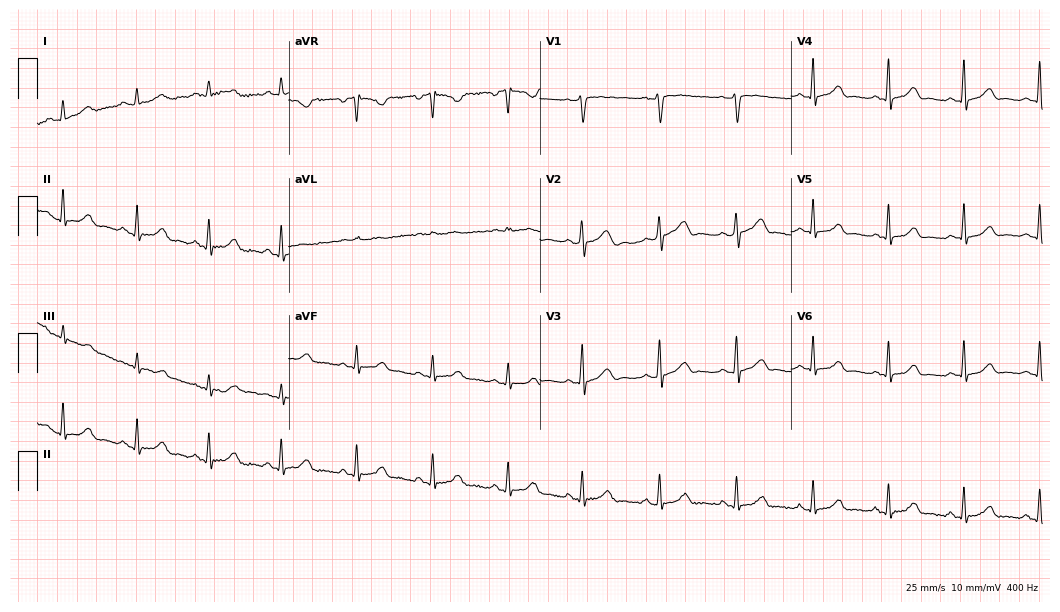
Resting 12-lead electrocardiogram. Patient: a 50-year-old woman. Read as a normal ECG.